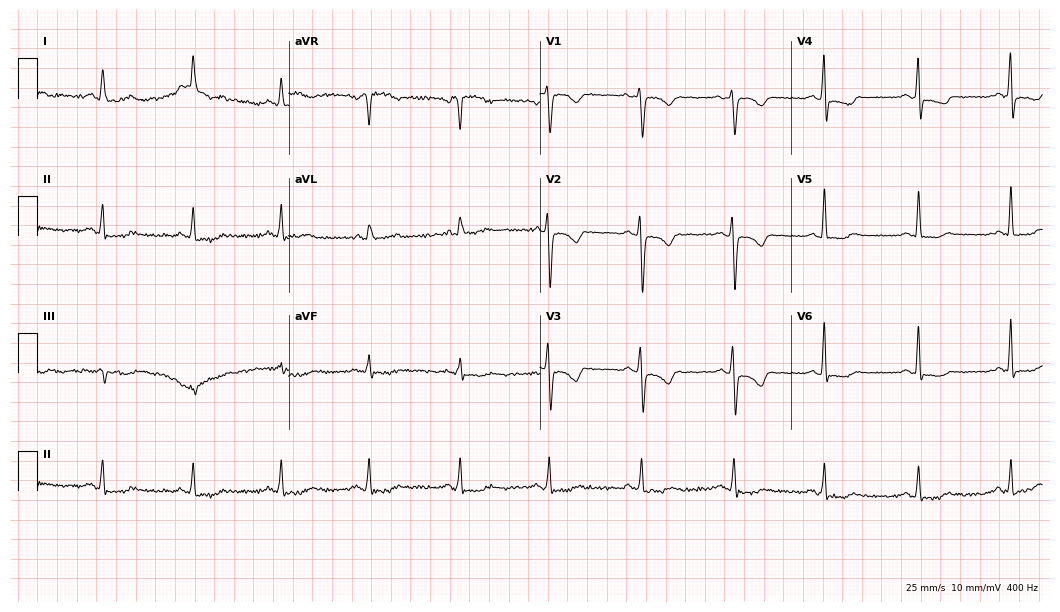
ECG — a 54-year-old female patient. Screened for six findings — first-degree AV block, right bundle branch block, left bundle branch block, sinus bradycardia, atrial fibrillation, sinus tachycardia — none is recorded. Other findings, if any, are not listed.